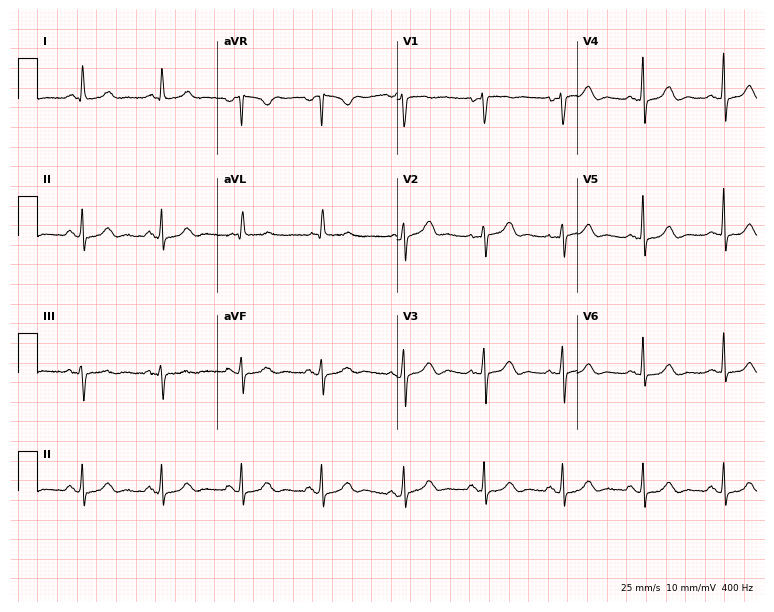
ECG — a 63-year-old woman. Labelled as a normal ECG.